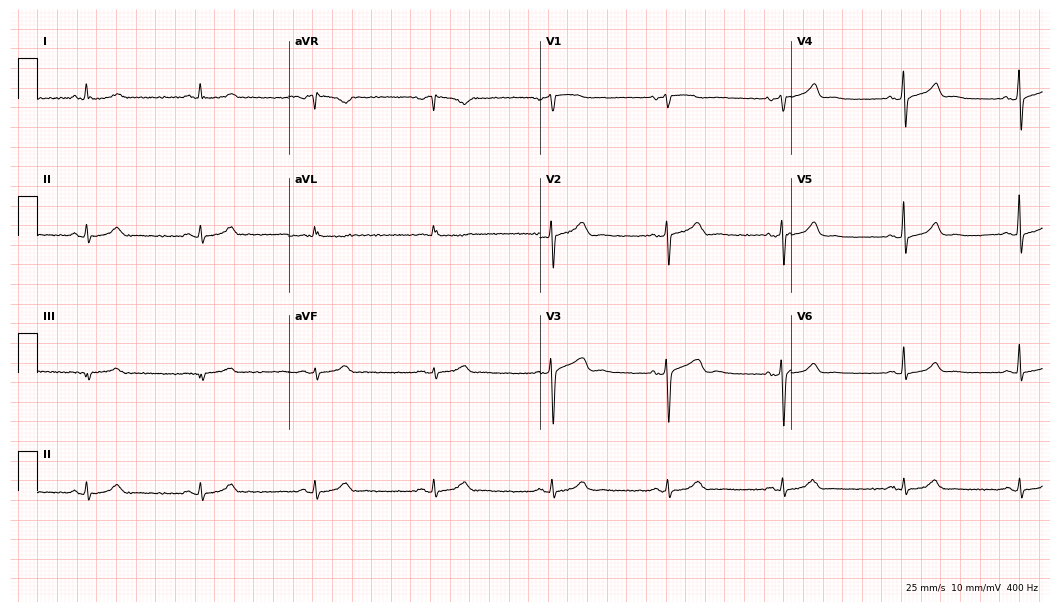
12-lead ECG from a female patient, 65 years old. Findings include sinus bradycardia (a sinus rate of 50 beats per minute or less).